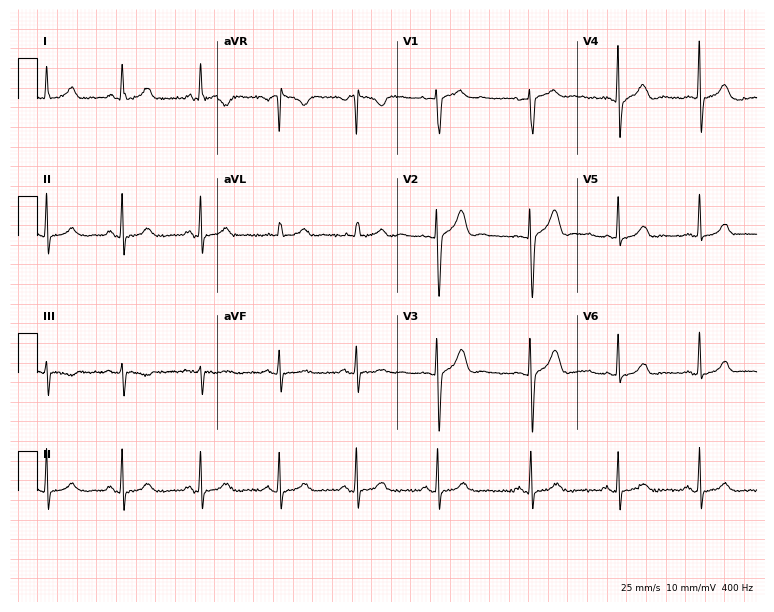
Electrocardiogram (7.3-second recording at 400 Hz), a 36-year-old woman. Overall reading on record: normal ECG.